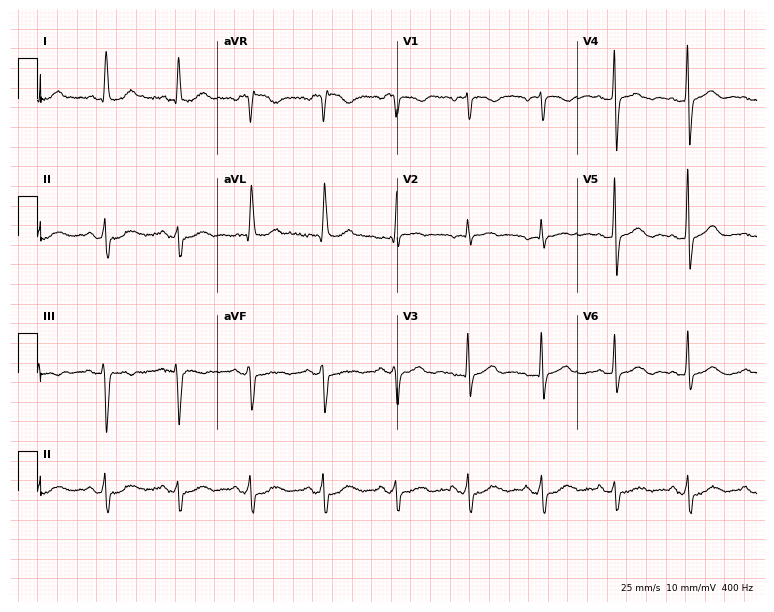
12-lead ECG (7.3-second recording at 400 Hz) from a 72-year-old female. Screened for six findings — first-degree AV block, right bundle branch block (RBBB), left bundle branch block (LBBB), sinus bradycardia, atrial fibrillation (AF), sinus tachycardia — none is recorded.